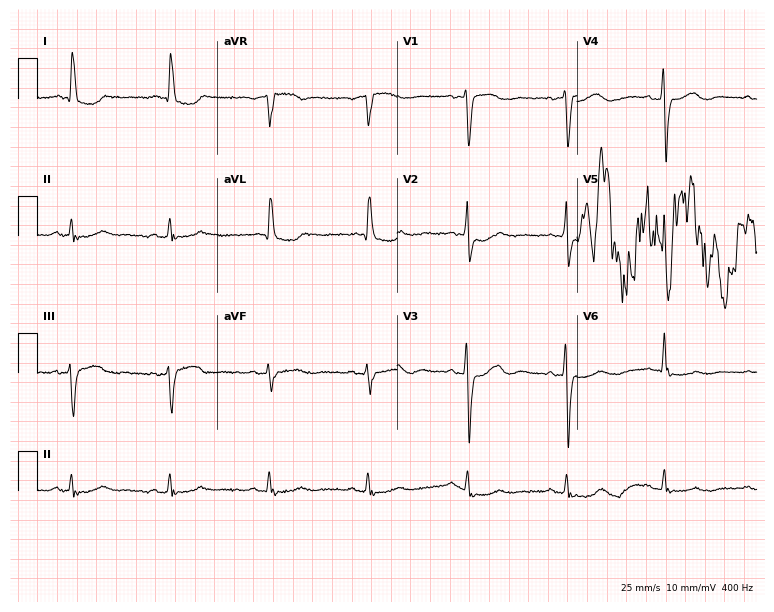
12-lead ECG (7.3-second recording at 400 Hz) from an 84-year-old female patient. Screened for six findings — first-degree AV block, right bundle branch block, left bundle branch block, sinus bradycardia, atrial fibrillation, sinus tachycardia — none is recorded. Findings outside these six are not listed.